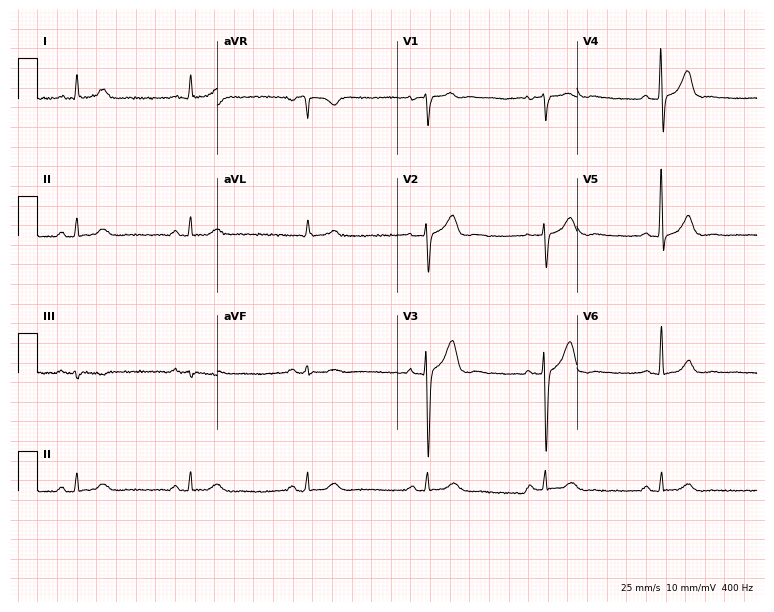
Resting 12-lead electrocardiogram. Patient: a man, 64 years old. Read as a normal ECG.